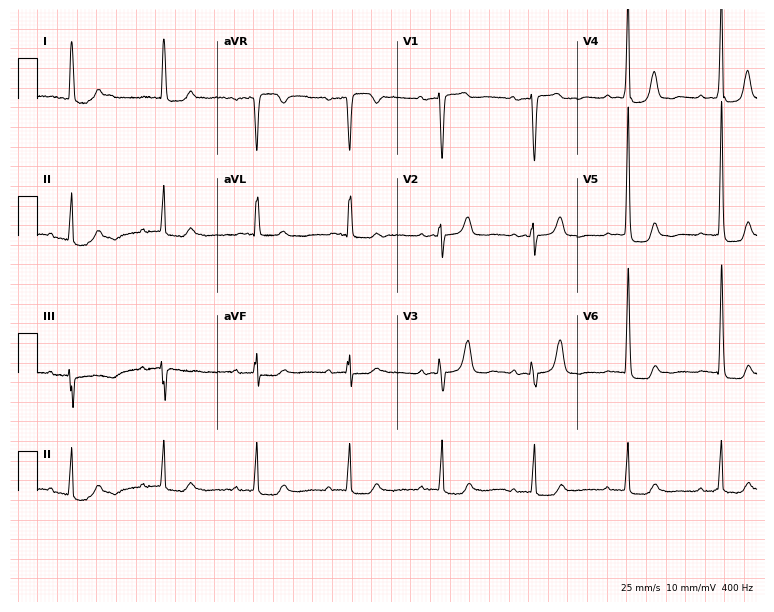
Standard 12-lead ECG recorded from an 84-year-old female. The tracing shows first-degree AV block.